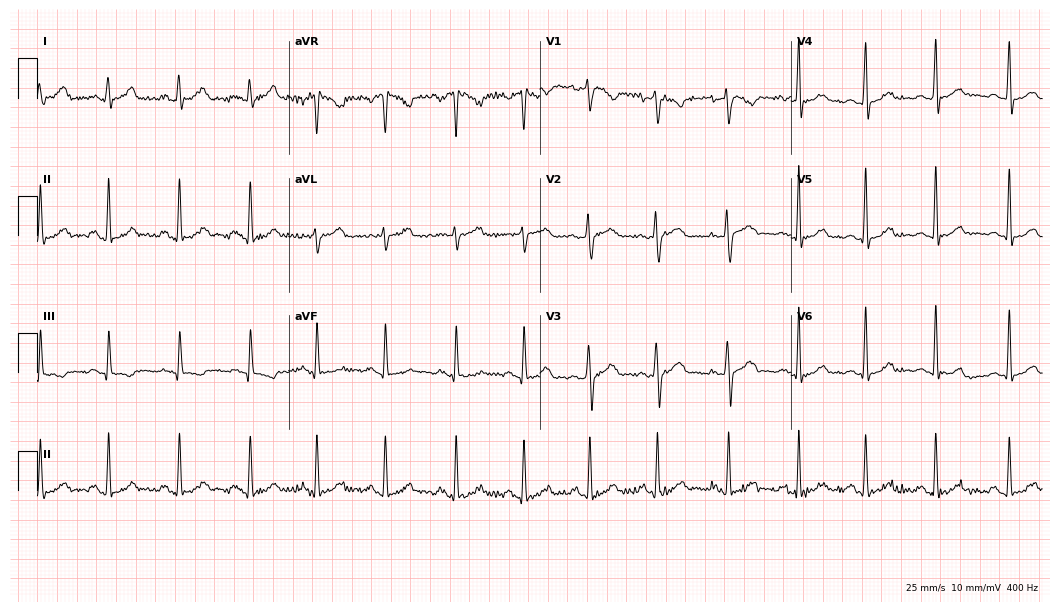
Resting 12-lead electrocardiogram. Patient: a 20-year-old female. Read as a normal ECG.